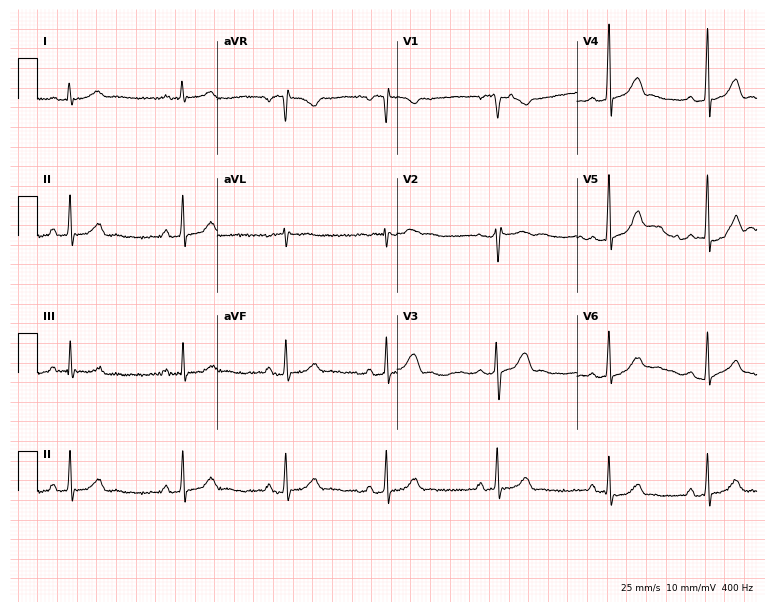
12-lead ECG from a 31-year-old female patient (7.3-second recording at 400 Hz). No first-degree AV block, right bundle branch block, left bundle branch block, sinus bradycardia, atrial fibrillation or sinus tachycardia recorded for this tracing.